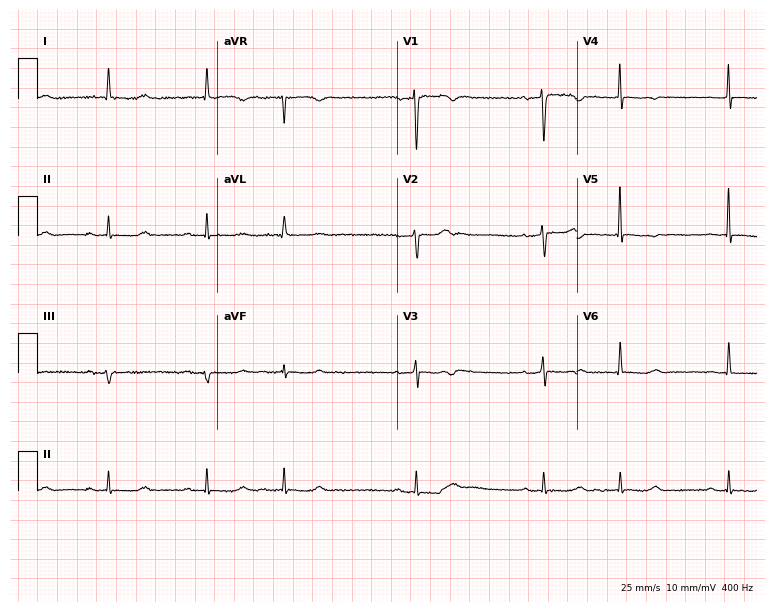
12-lead ECG (7.3-second recording at 400 Hz) from a woman, 71 years old. Screened for six findings — first-degree AV block, right bundle branch block, left bundle branch block, sinus bradycardia, atrial fibrillation, sinus tachycardia — none is recorded. Findings outside these six are not listed.